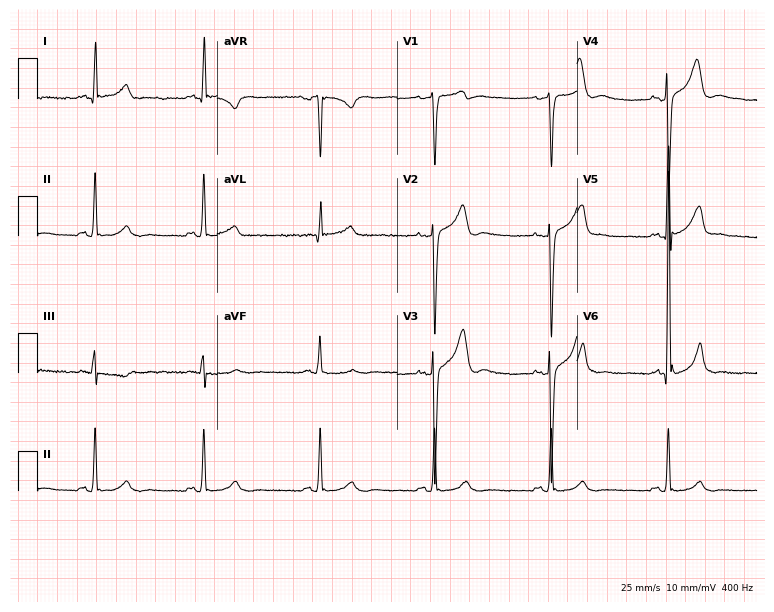
Standard 12-lead ECG recorded from a male patient, 24 years old. Read as a normal ECG.